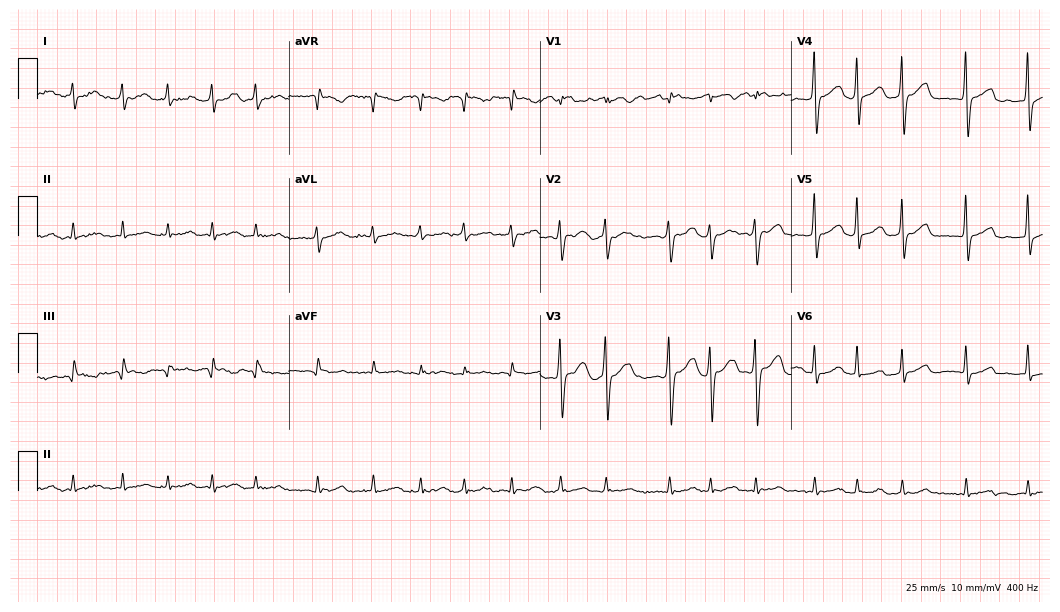
ECG — a female patient, 78 years old. Findings include atrial fibrillation, sinus tachycardia (a sinus rate of 100 beats per minute or more).